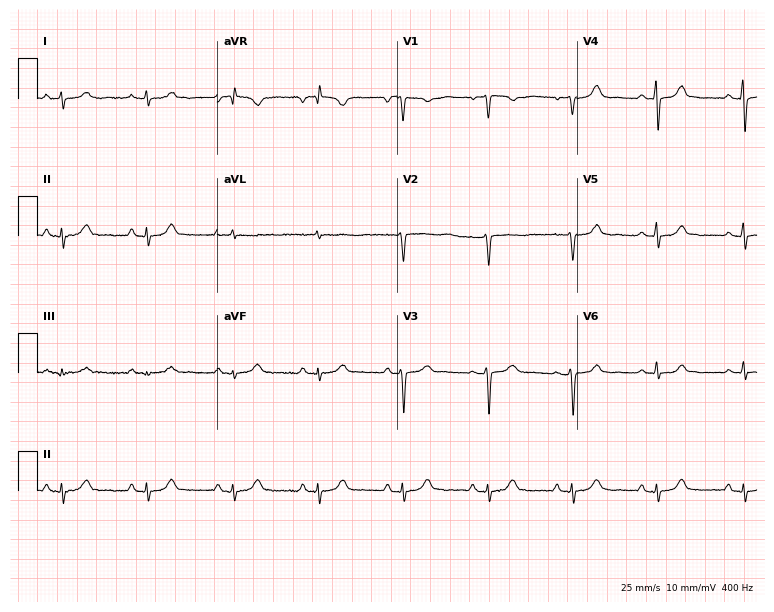
12-lead ECG from a 50-year-old female (7.3-second recording at 400 Hz). No first-degree AV block, right bundle branch block (RBBB), left bundle branch block (LBBB), sinus bradycardia, atrial fibrillation (AF) or sinus tachycardia recorded for this tracing. Other findings, if any, are not listed.